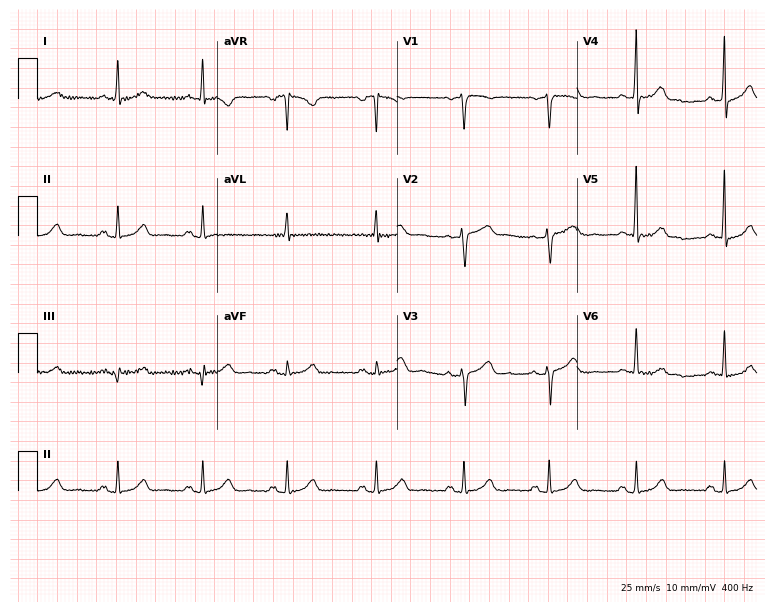
12-lead ECG from a female patient, 54 years old. Recorded interpretation: within normal limits.